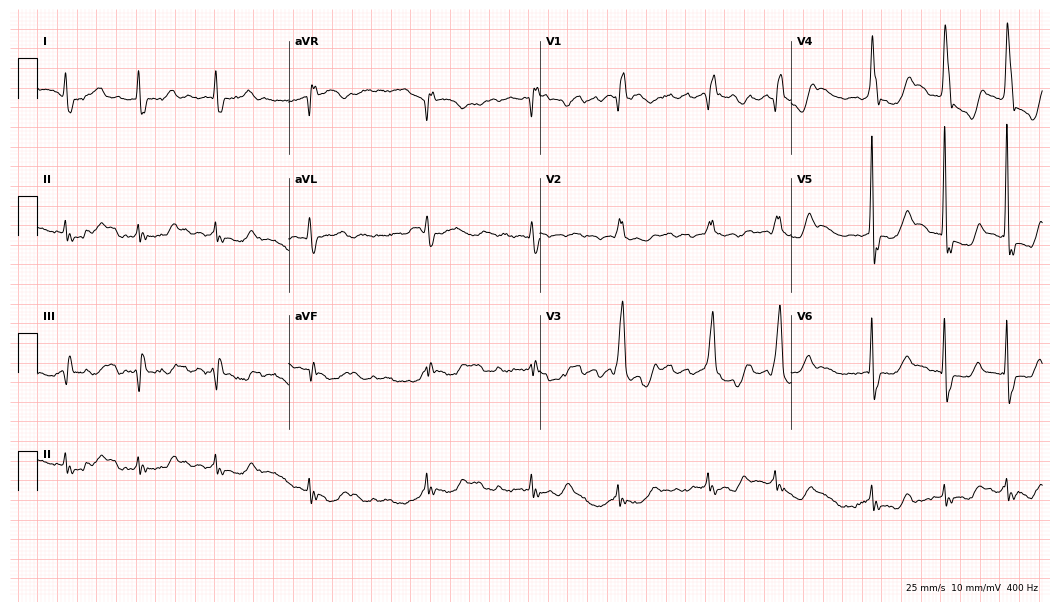
Electrocardiogram, a 77-year-old woman. Interpretation includes right bundle branch block (RBBB), atrial fibrillation (AF).